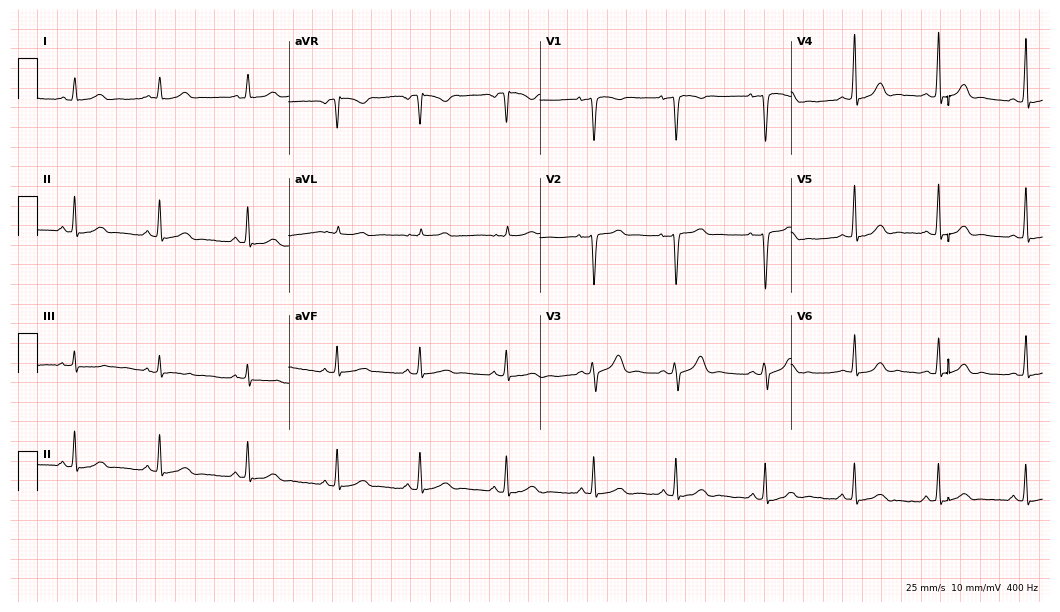
Resting 12-lead electrocardiogram. Patient: a 34-year-old female. None of these six findings is recorded: first-degree AV block, right bundle branch block, left bundle branch block, sinus bradycardia, atrial fibrillation, sinus tachycardia.